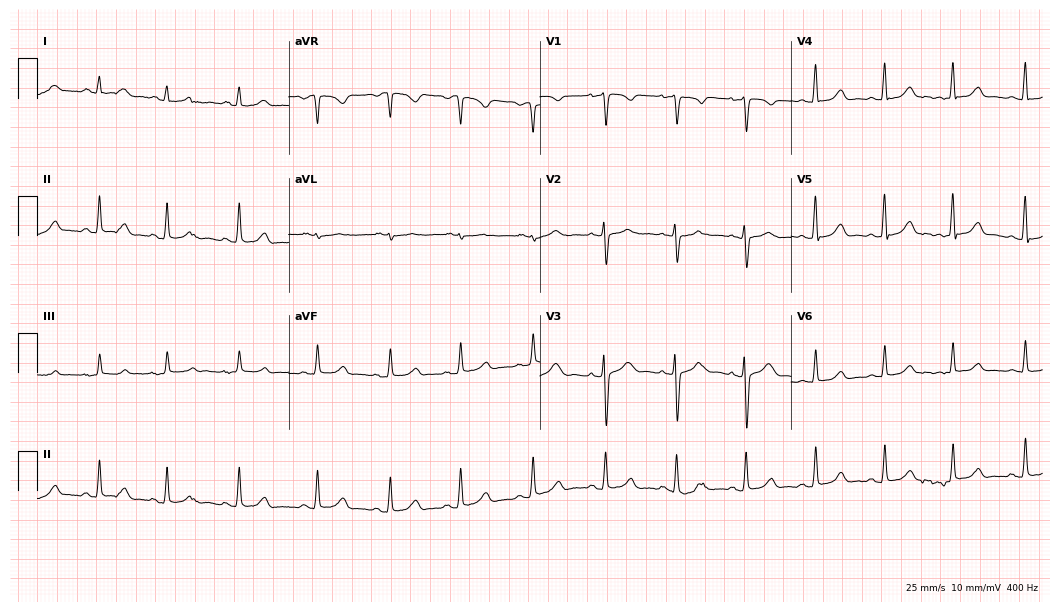
Electrocardiogram (10.2-second recording at 400 Hz), a 31-year-old female. Overall reading on record: normal ECG.